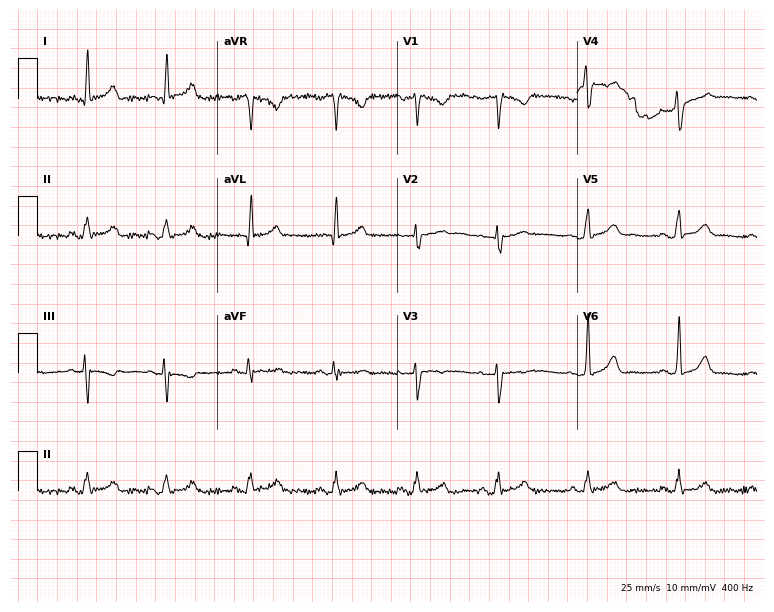
Resting 12-lead electrocardiogram. Patient: a female, 29 years old. Read as a normal ECG.